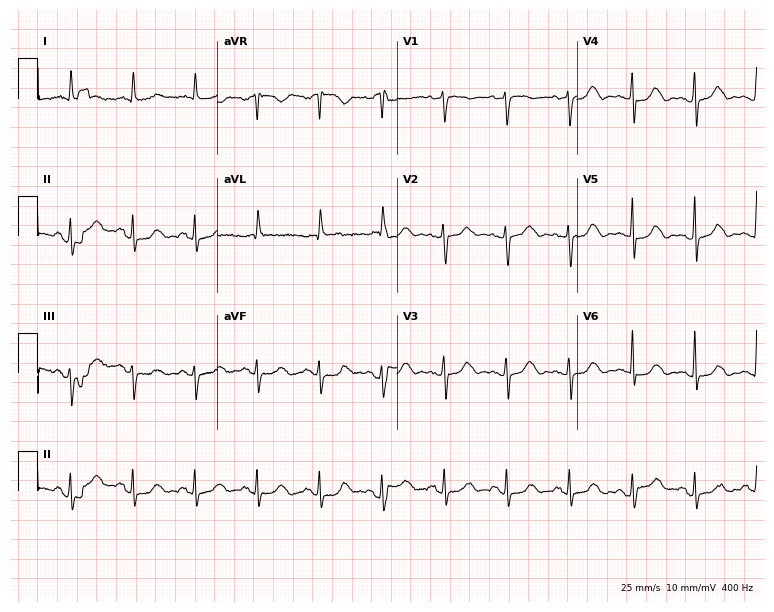
Standard 12-lead ECG recorded from a 63-year-old woman. None of these six findings is recorded: first-degree AV block, right bundle branch block (RBBB), left bundle branch block (LBBB), sinus bradycardia, atrial fibrillation (AF), sinus tachycardia. Findings outside these six are not listed.